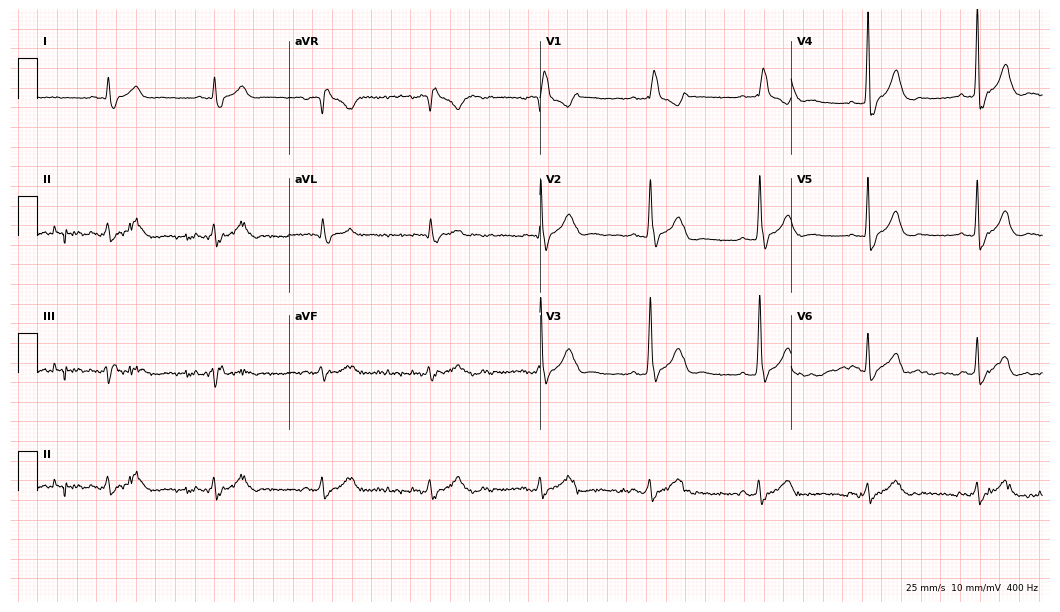
12-lead ECG from a 66-year-old male. Findings include right bundle branch block.